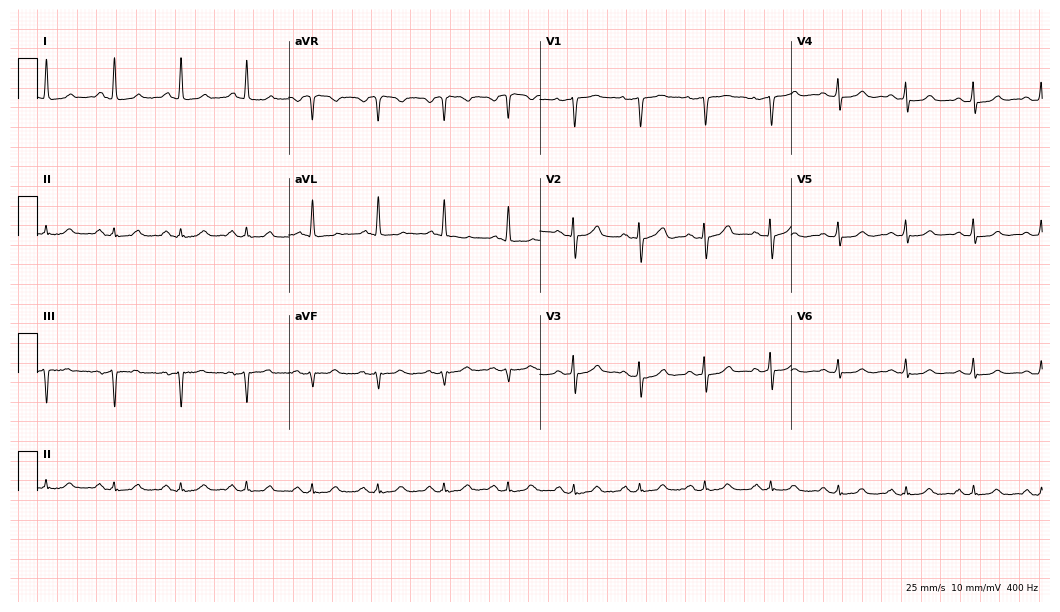
ECG (10.2-second recording at 400 Hz) — a female, 75 years old. Labelled as a normal ECG.